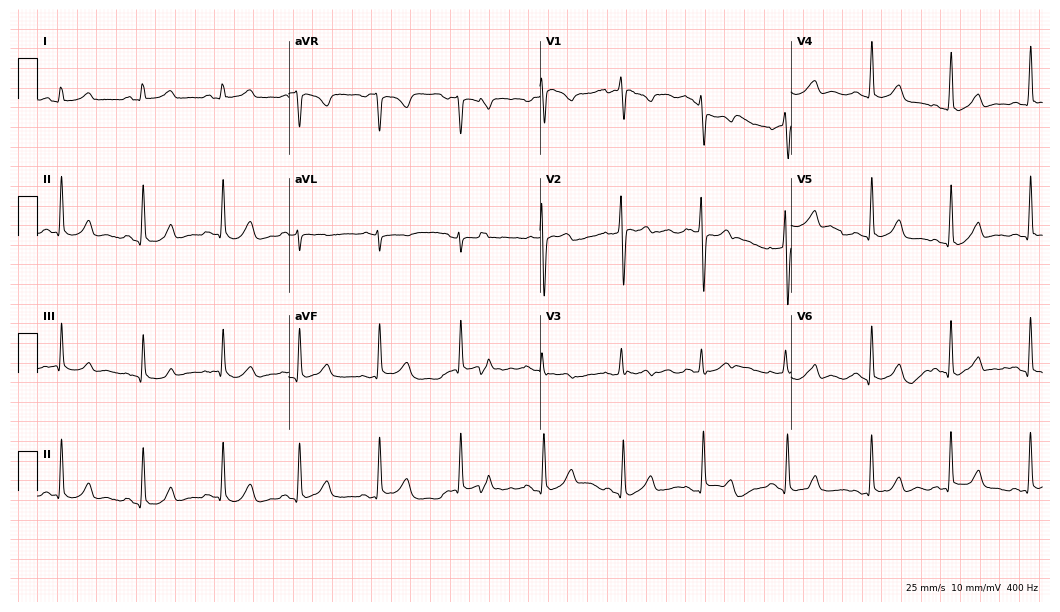
Electrocardiogram, a female patient, 18 years old. Overall reading on record: normal ECG.